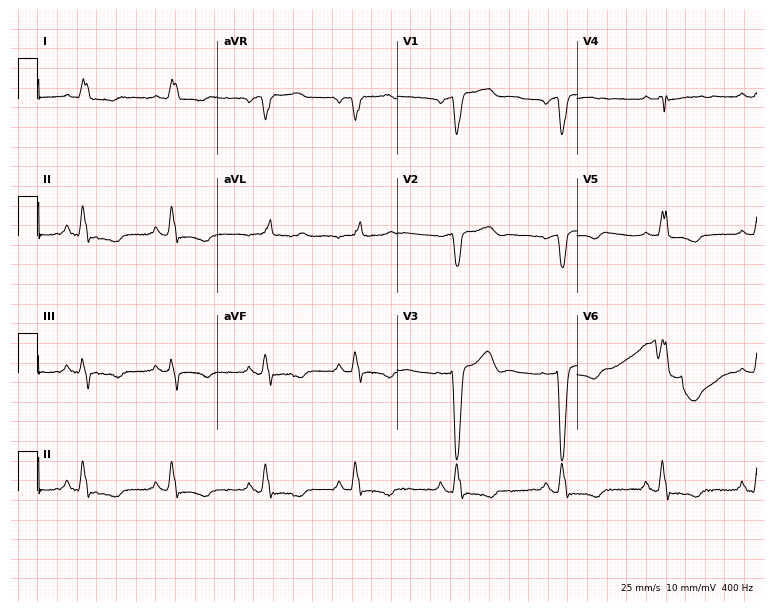
ECG (7.3-second recording at 400 Hz) — a woman, 81 years old. Screened for six findings — first-degree AV block, right bundle branch block, left bundle branch block, sinus bradycardia, atrial fibrillation, sinus tachycardia — none is recorded. Only these six findings were labelled.